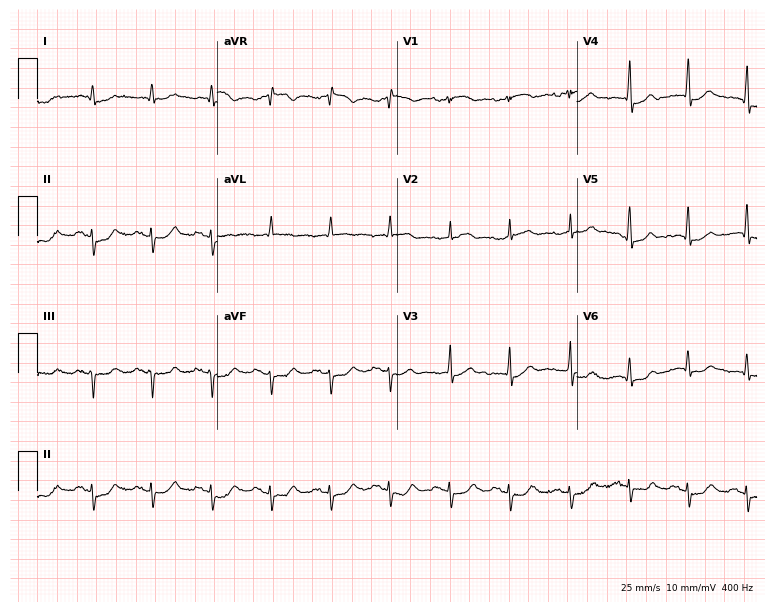
Electrocardiogram, a male patient, 81 years old. Of the six screened findings (first-degree AV block, right bundle branch block, left bundle branch block, sinus bradycardia, atrial fibrillation, sinus tachycardia), none is recorded. Other findings, if any, are not listed.